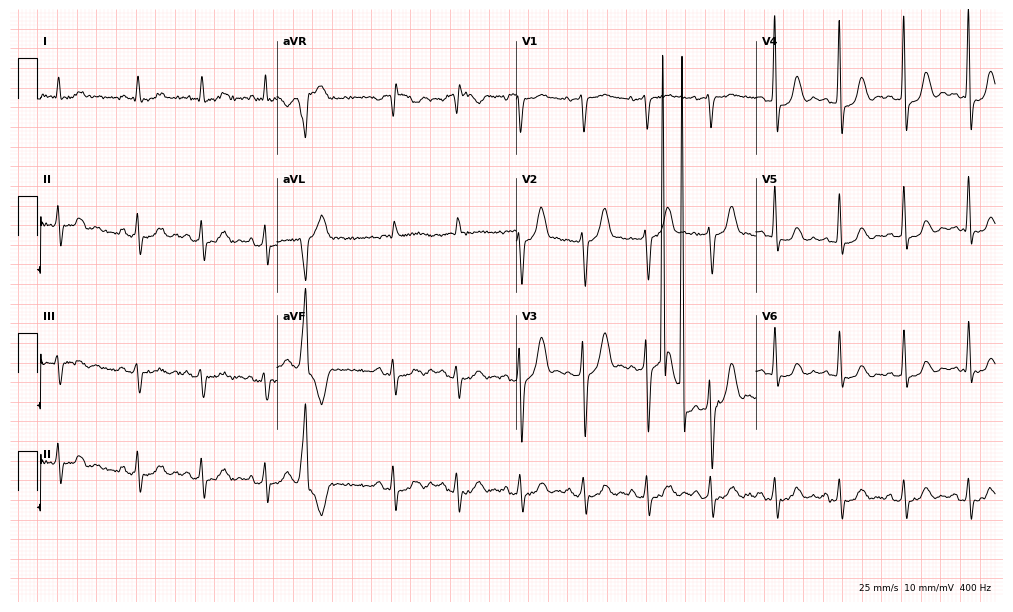
12-lead ECG from a male patient, 77 years old. Labelled as a normal ECG.